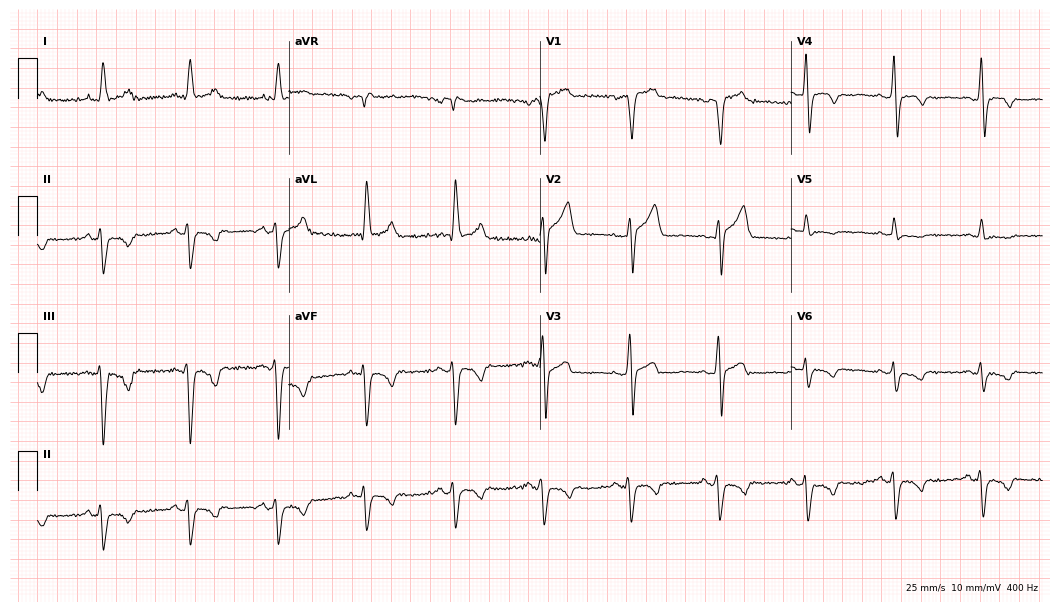
Standard 12-lead ECG recorded from a 72-year-old male. The tracing shows left bundle branch block.